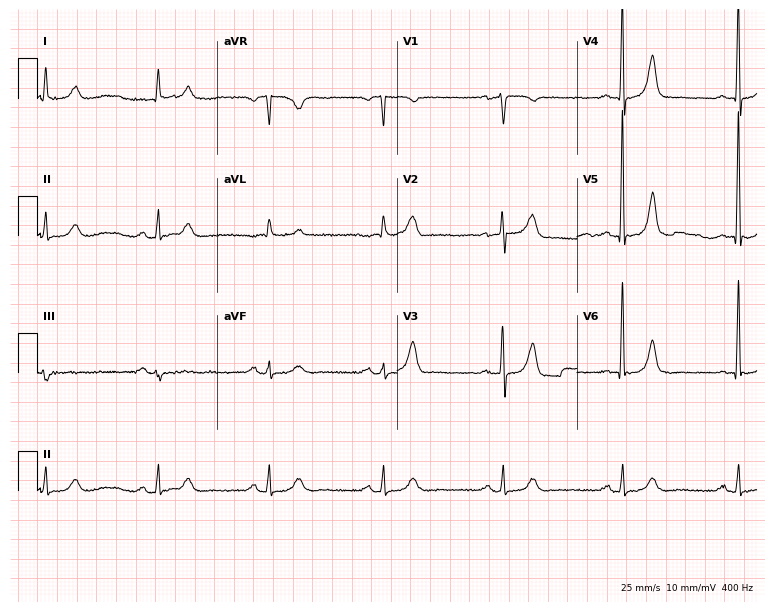
Standard 12-lead ECG recorded from a male, 85 years old (7.3-second recording at 400 Hz). None of these six findings is recorded: first-degree AV block, right bundle branch block, left bundle branch block, sinus bradycardia, atrial fibrillation, sinus tachycardia.